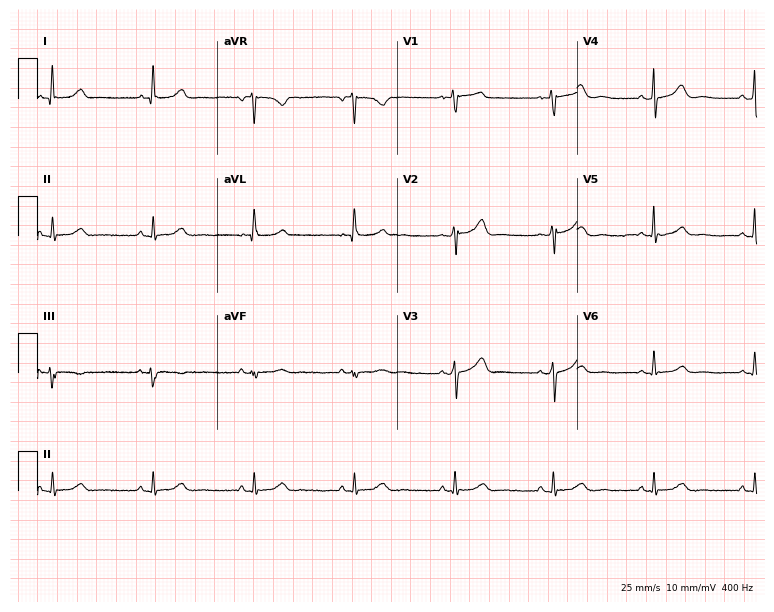
12-lead ECG (7.3-second recording at 400 Hz) from a female patient, 55 years old. Labelled as a normal ECG.